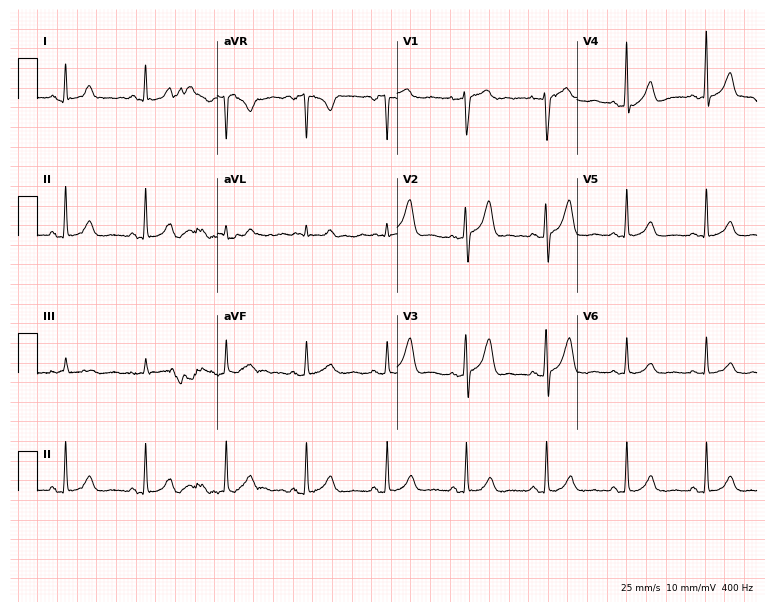
ECG (7.3-second recording at 400 Hz) — a 56-year-old female. Screened for six findings — first-degree AV block, right bundle branch block, left bundle branch block, sinus bradycardia, atrial fibrillation, sinus tachycardia — none is recorded.